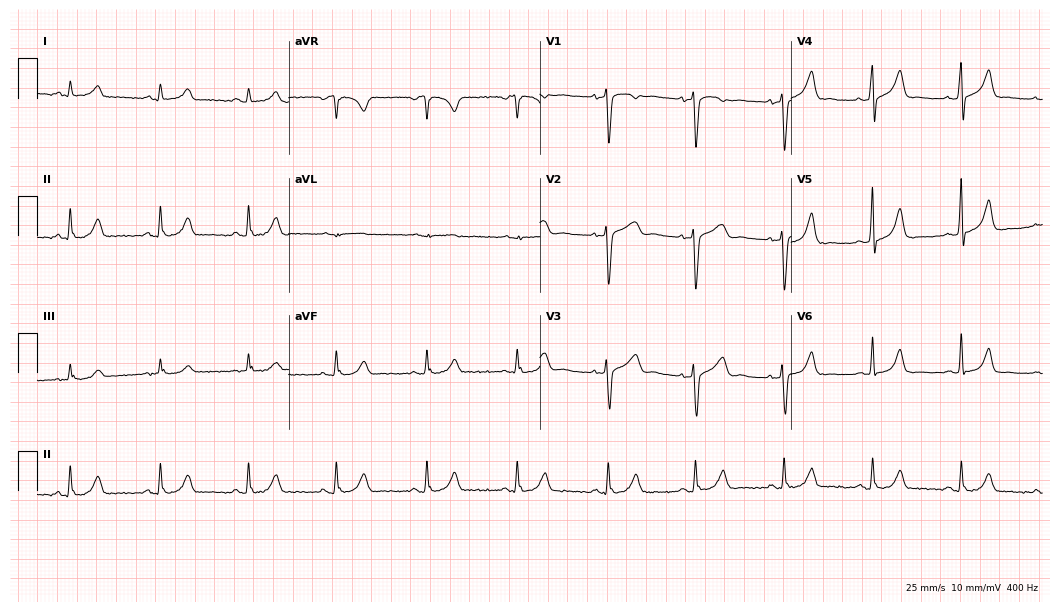
Standard 12-lead ECG recorded from a 34-year-old woman (10.2-second recording at 400 Hz). None of these six findings is recorded: first-degree AV block, right bundle branch block, left bundle branch block, sinus bradycardia, atrial fibrillation, sinus tachycardia.